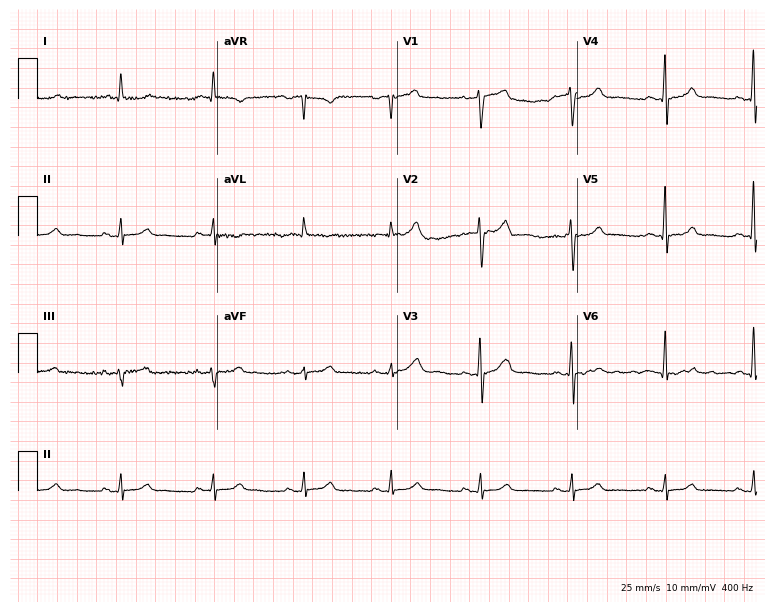
12-lead ECG from a man, 59 years old. Labelled as a normal ECG.